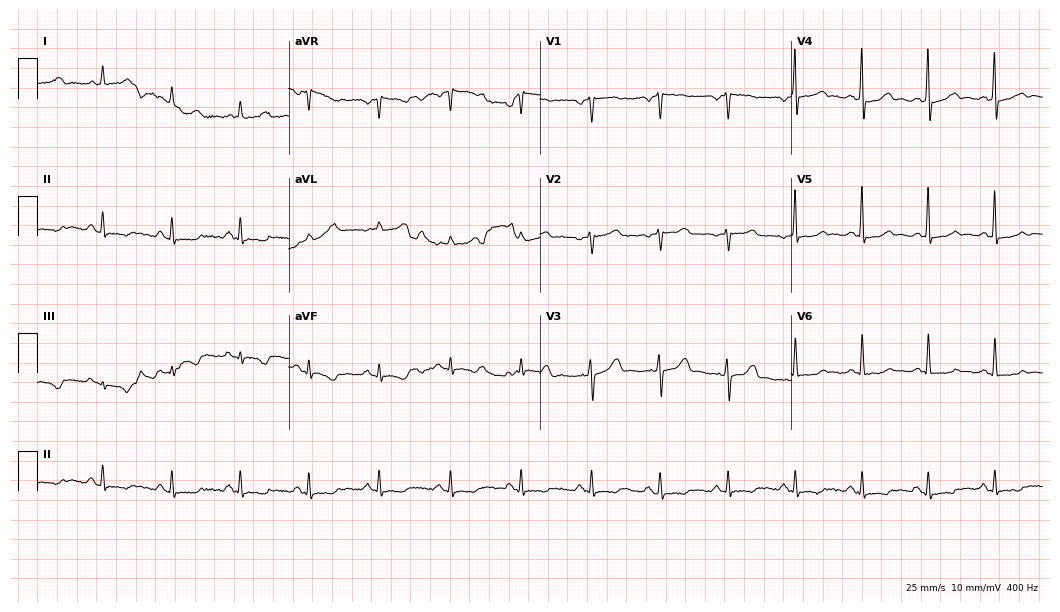
ECG — a 44-year-old female patient. Screened for six findings — first-degree AV block, right bundle branch block, left bundle branch block, sinus bradycardia, atrial fibrillation, sinus tachycardia — none is recorded. Other findings, if any, are not listed.